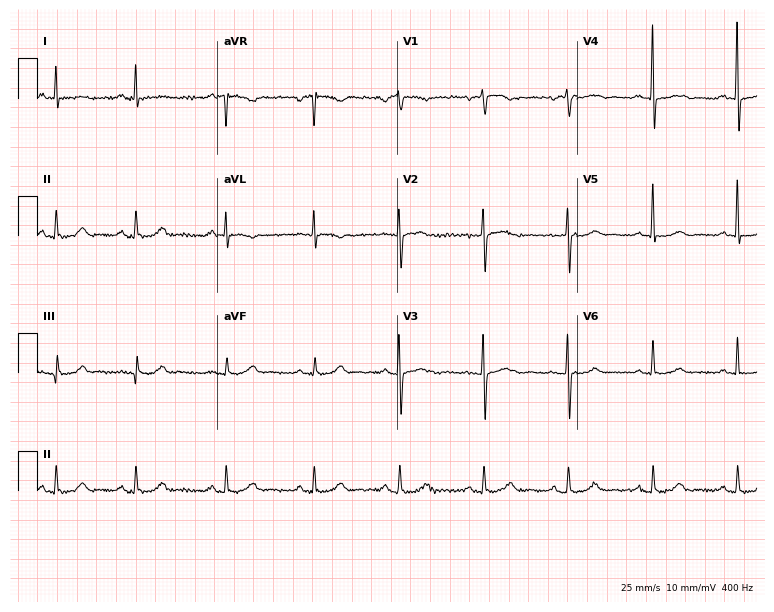
12-lead ECG from a 79-year-old female patient. No first-degree AV block, right bundle branch block, left bundle branch block, sinus bradycardia, atrial fibrillation or sinus tachycardia recorded for this tracing. Findings outside these six are not listed.